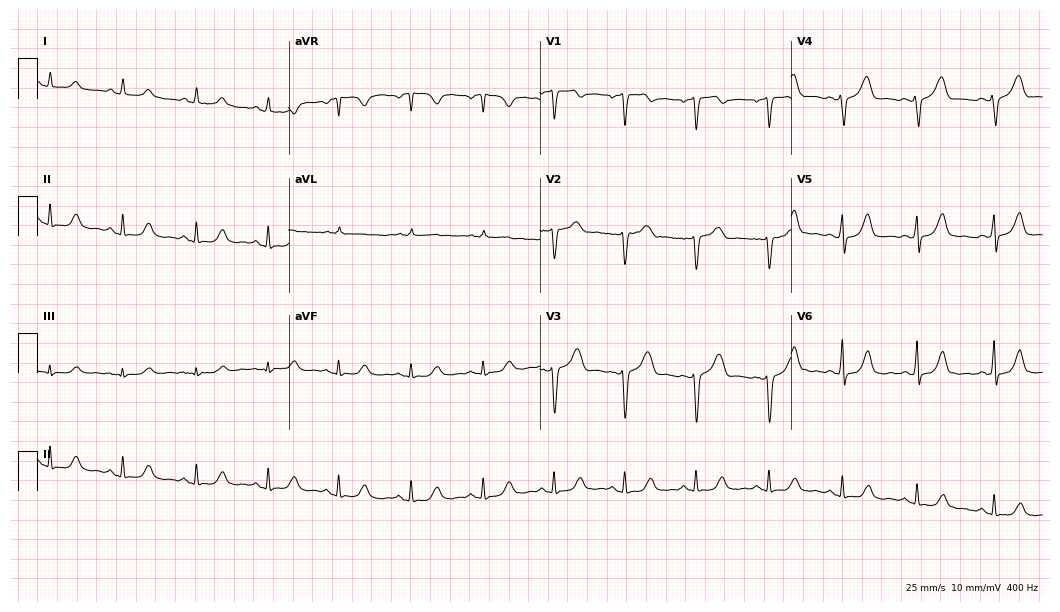
ECG — a 53-year-old female. Screened for six findings — first-degree AV block, right bundle branch block, left bundle branch block, sinus bradycardia, atrial fibrillation, sinus tachycardia — none is recorded.